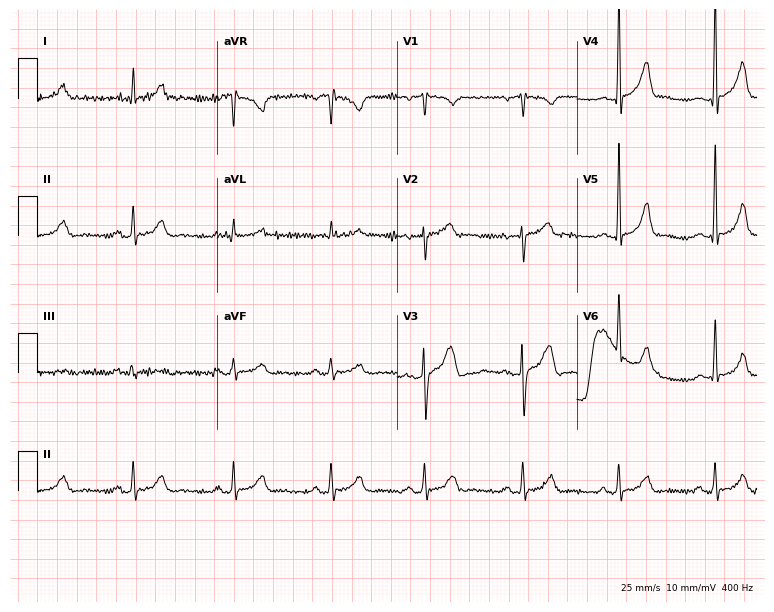
Resting 12-lead electrocardiogram (7.3-second recording at 400 Hz). Patient: a male, 47 years old. Read as a normal ECG.